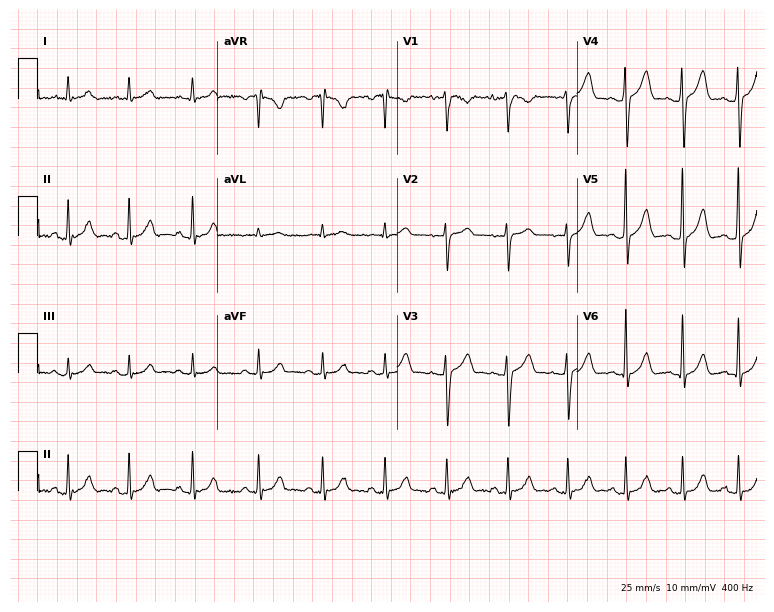
12-lead ECG from a man, 21 years old. Screened for six findings — first-degree AV block, right bundle branch block (RBBB), left bundle branch block (LBBB), sinus bradycardia, atrial fibrillation (AF), sinus tachycardia — none is recorded.